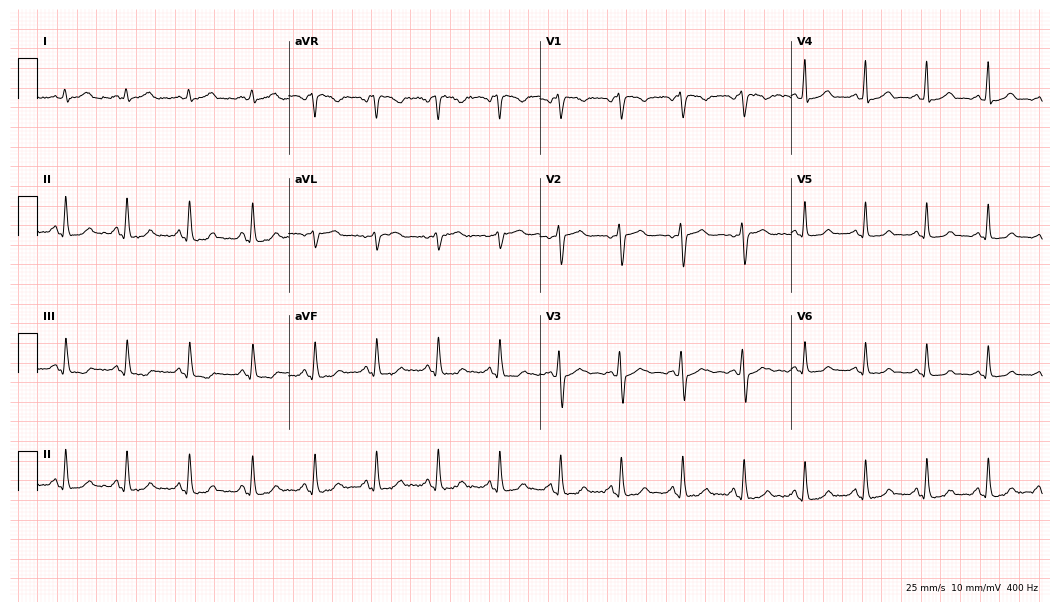
12-lead ECG from a 25-year-old female. Recorded interpretation: within normal limits.